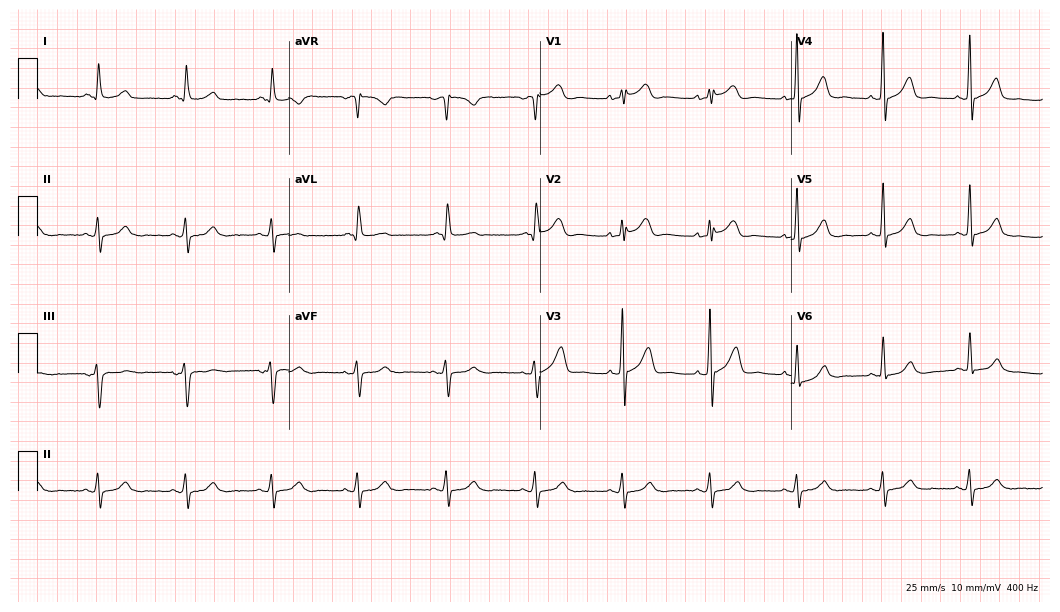
Electrocardiogram, a male, 60 years old. Of the six screened findings (first-degree AV block, right bundle branch block (RBBB), left bundle branch block (LBBB), sinus bradycardia, atrial fibrillation (AF), sinus tachycardia), none is recorded. Other findings, if any, are not listed.